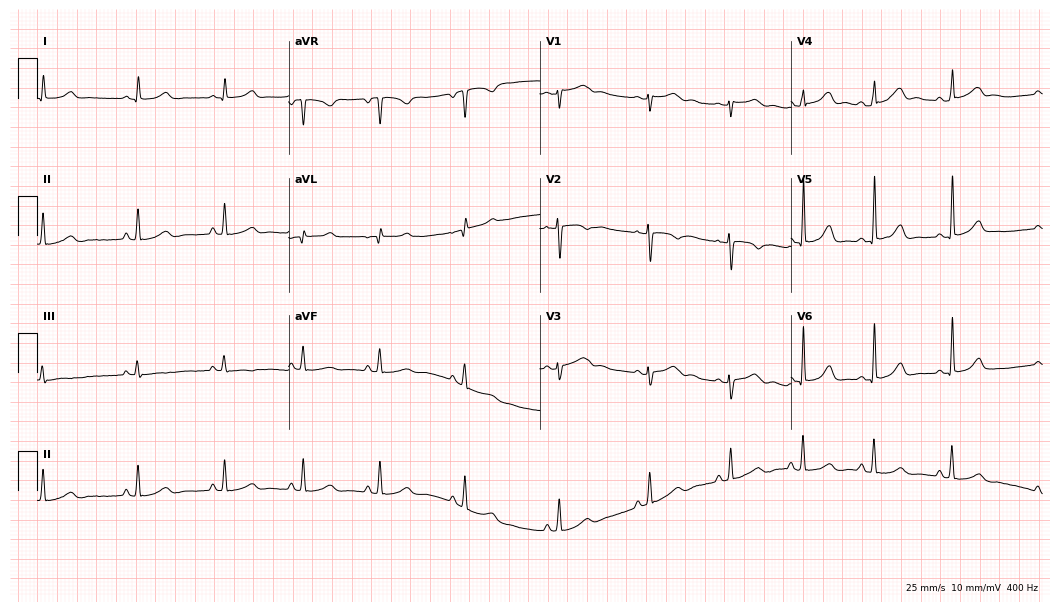
Resting 12-lead electrocardiogram. Patient: a 21-year-old female. Read as a normal ECG.